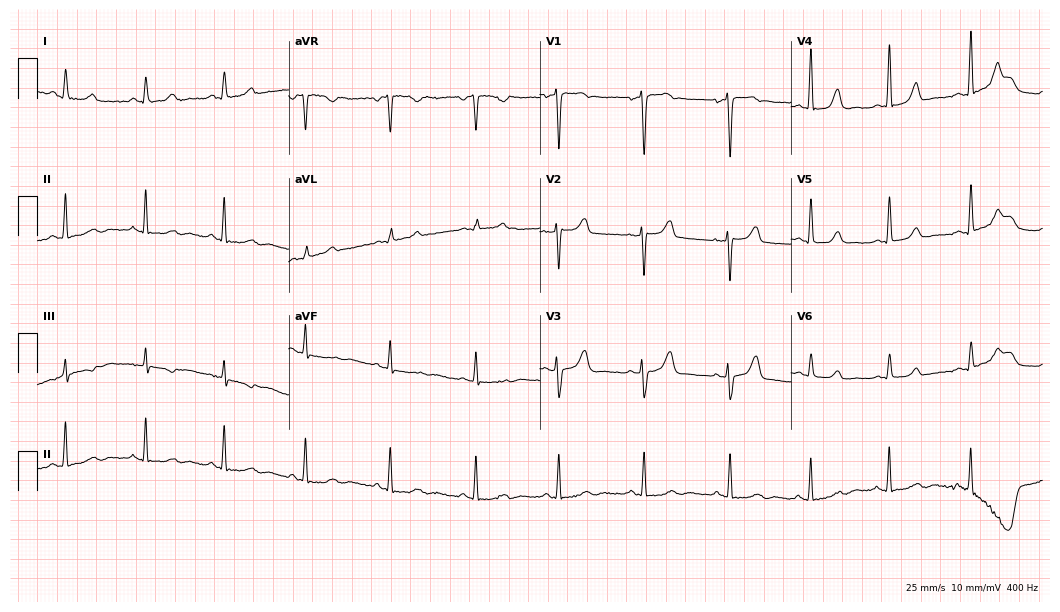
12-lead ECG (10.2-second recording at 400 Hz) from a 39-year-old female. Labelled as a normal ECG.